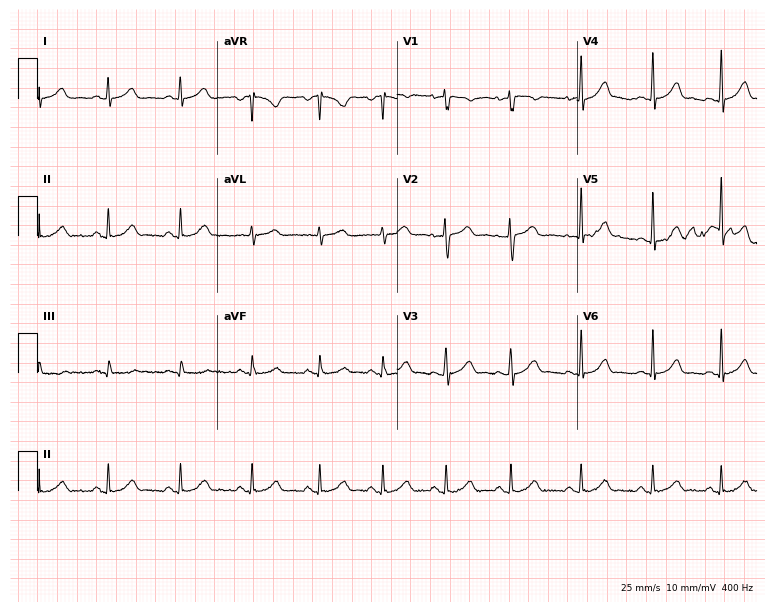
12-lead ECG from a woman, 27 years old. Labelled as a normal ECG.